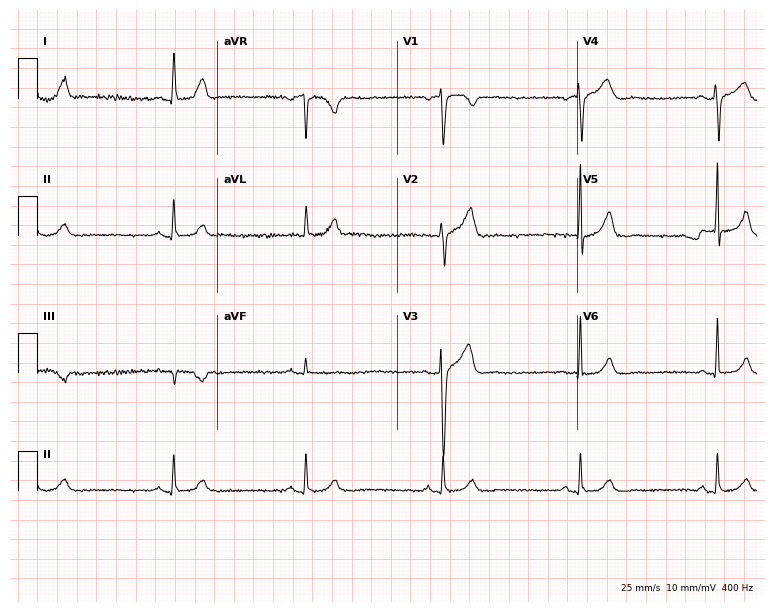
Standard 12-lead ECG recorded from a 64-year-old male (7.3-second recording at 400 Hz). The tracing shows sinus bradycardia (a sinus rate of 50 beats per minute or less).